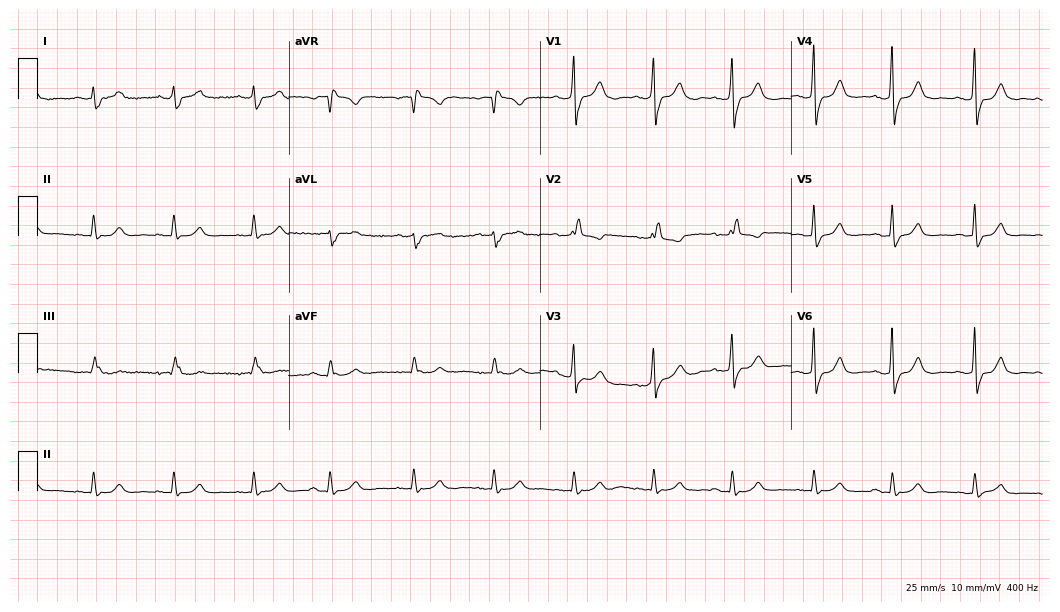
12-lead ECG from a 74-year-old male. Screened for six findings — first-degree AV block, right bundle branch block, left bundle branch block, sinus bradycardia, atrial fibrillation, sinus tachycardia — none is recorded. Other findings, if any, are not listed.